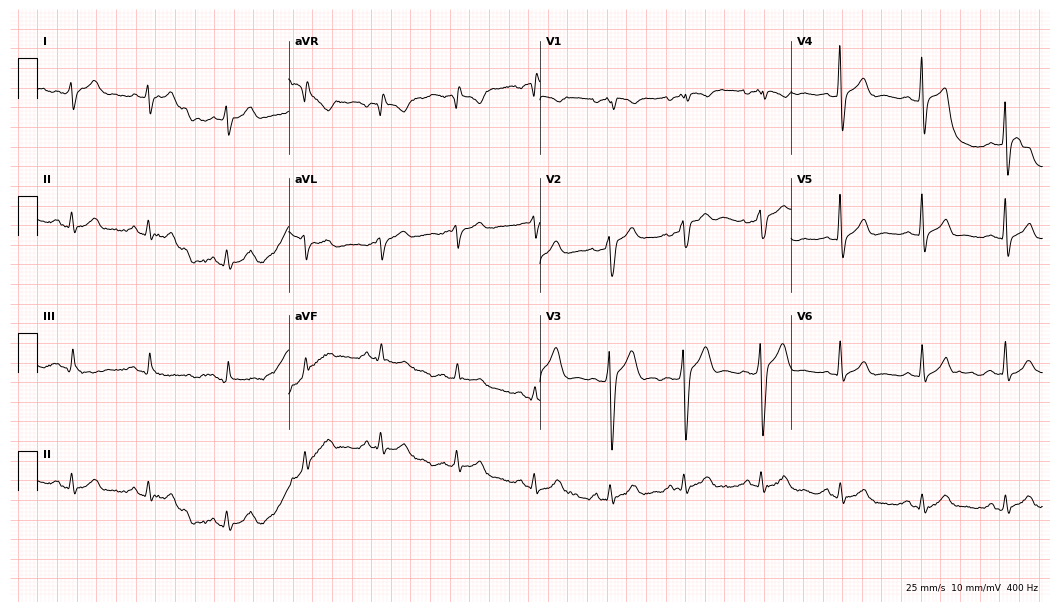
ECG — a 29-year-old male patient. Screened for six findings — first-degree AV block, right bundle branch block, left bundle branch block, sinus bradycardia, atrial fibrillation, sinus tachycardia — none is recorded. Other findings, if any, are not listed.